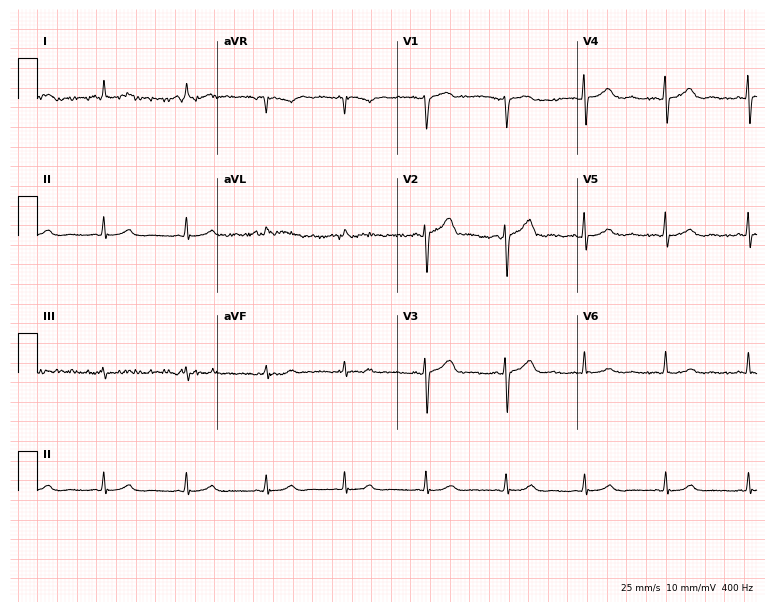
Standard 12-lead ECG recorded from a female, 60 years old (7.3-second recording at 400 Hz). Read as a normal ECG.